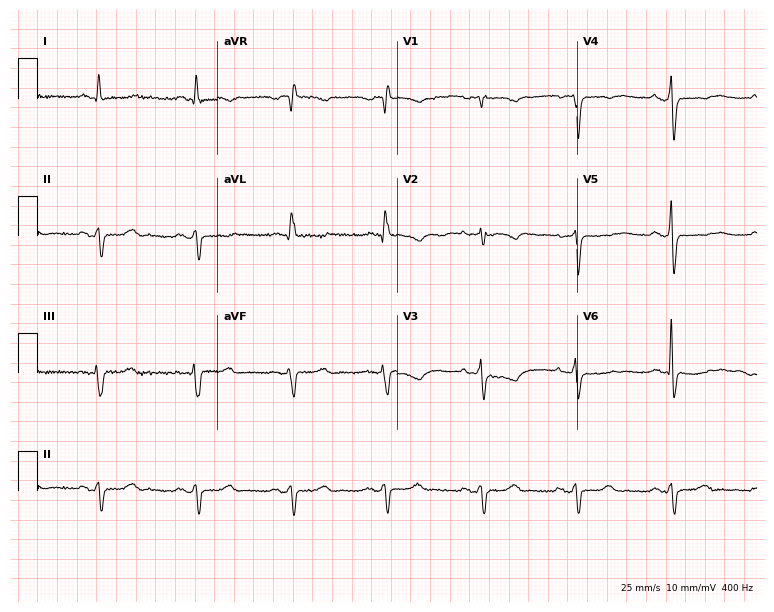
Resting 12-lead electrocardiogram (7.3-second recording at 400 Hz). Patient: a man, 66 years old. None of these six findings is recorded: first-degree AV block, right bundle branch block, left bundle branch block, sinus bradycardia, atrial fibrillation, sinus tachycardia.